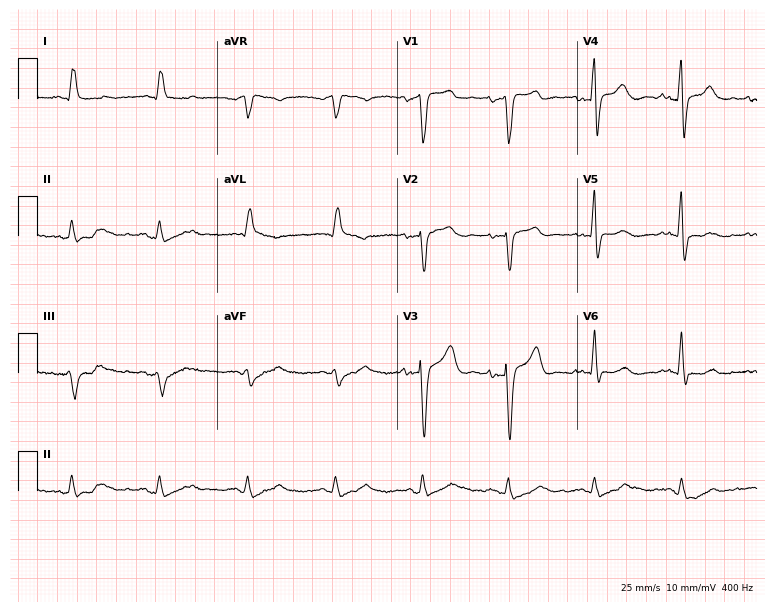
12-lead ECG from a man, 67 years old (7.3-second recording at 400 Hz). Shows left bundle branch block.